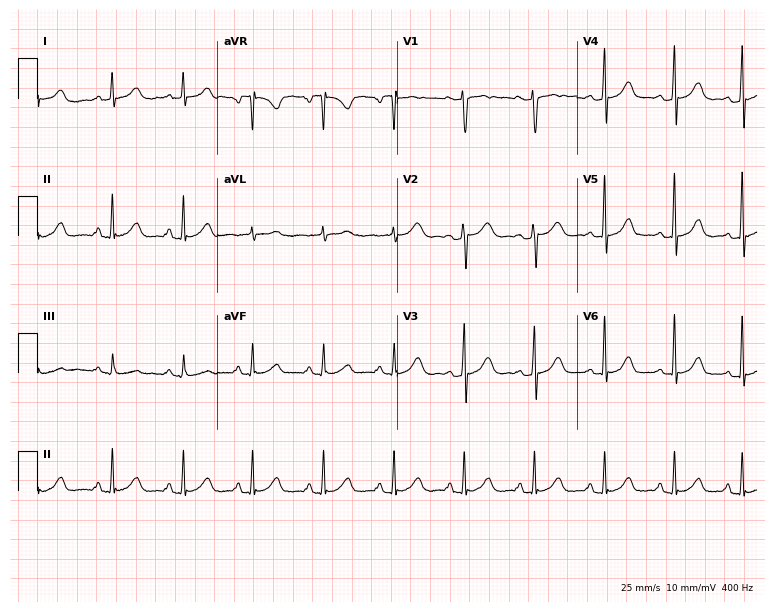
12-lead ECG (7.3-second recording at 400 Hz) from a 30-year-old female. Labelled as a normal ECG.